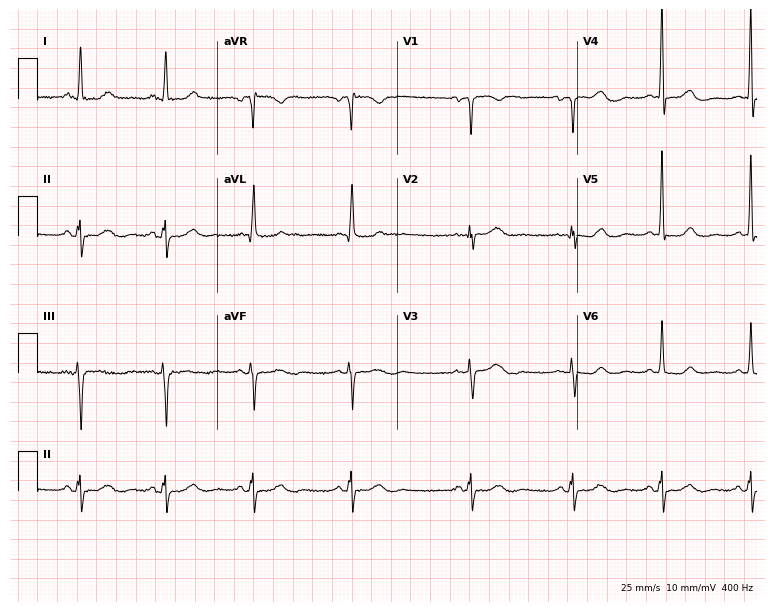
Standard 12-lead ECG recorded from a 78-year-old woman. None of these six findings is recorded: first-degree AV block, right bundle branch block, left bundle branch block, sinus bradycardia, atrial fibrillation, sinus tachycardia. Only these six findings were labelled.